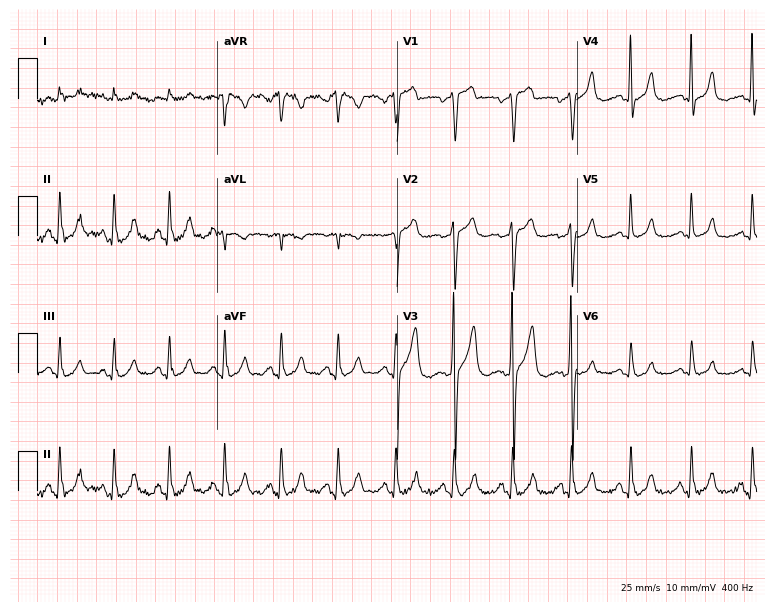
12-lead ECG from a male patient, 55 years old. Screened for six findings — first-degree AV block, right bundle branch block, left bundle branch block, sinus bradycardia, atrial fibrillation, sinus tachycardia — none is recorded. Findings outside these six are not listed.